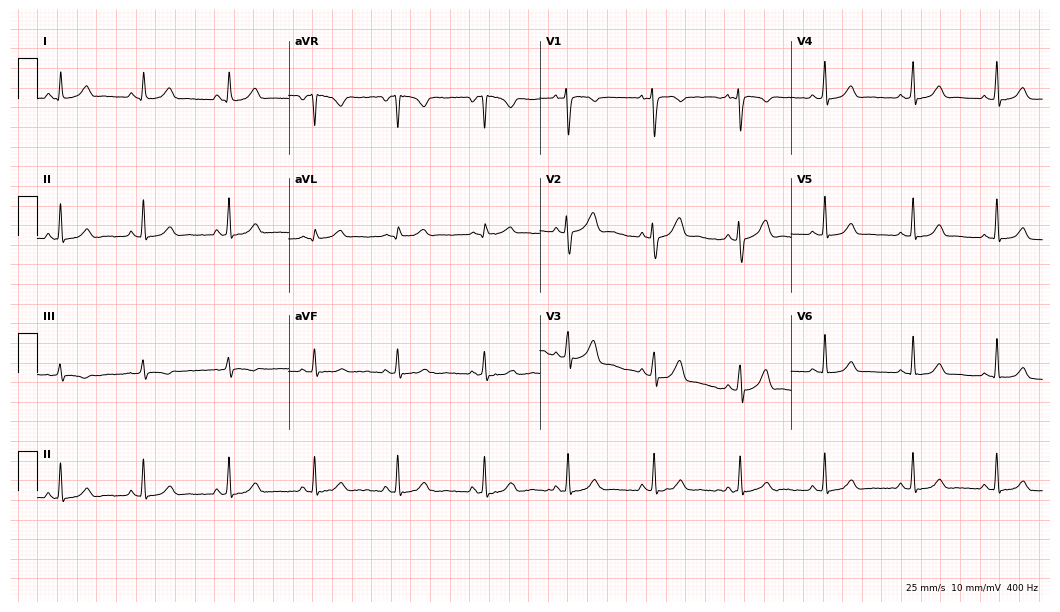
Standard 12-lead ECG recorded from a 33-year-old woman. Read as a normal ECG.